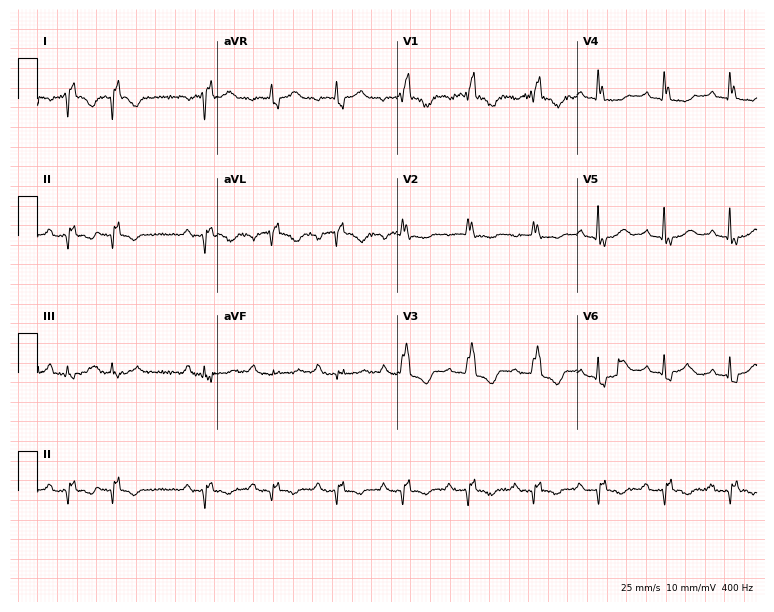
12-lead ECG from a 75-year-old woman. No first-degree AV block, right bundle branch block, left bundle branch block, sinus bradycardia, atrial fibrillation or sinus tachycardia recorded for this tracing.